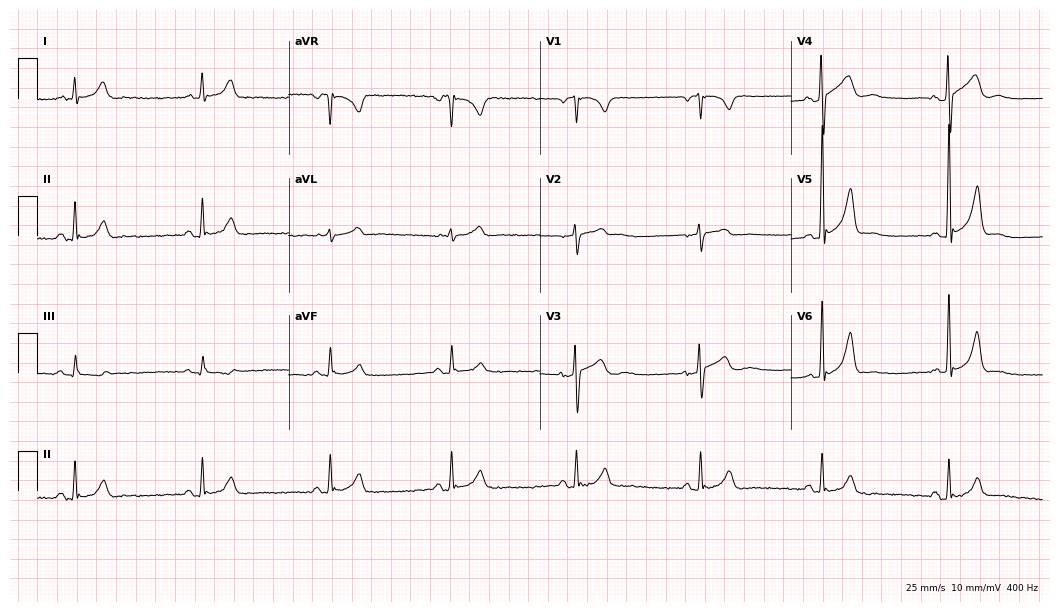
12-lead ECG from a 60-year-old male. Findings include sinus bradycardia (a sinus rate of 50 beats per minute or less).